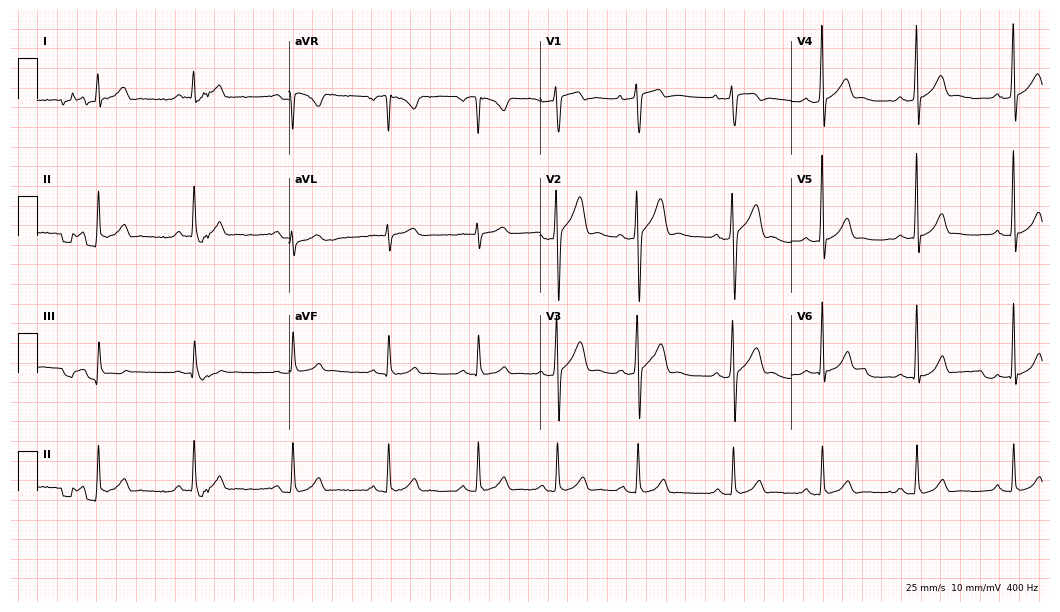
Electrocardiogram, a 21-year-old male patient. Overall reading on record: normal ECG.